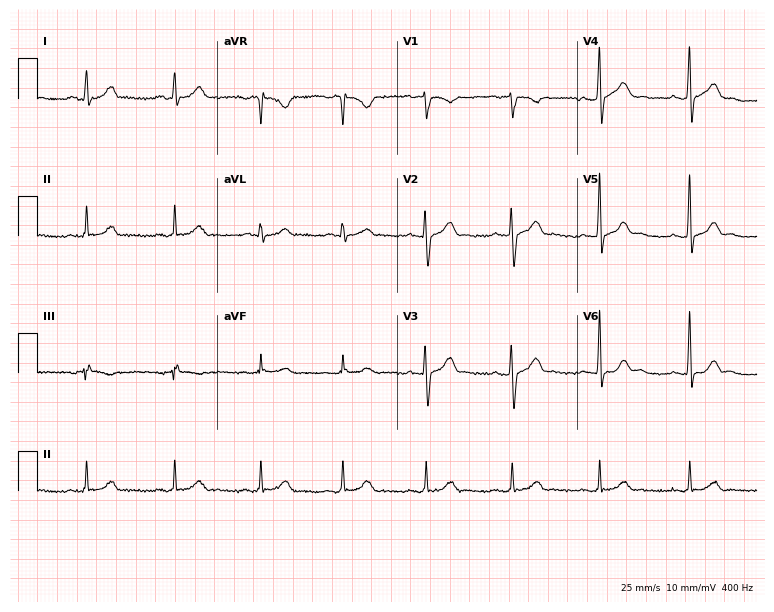
Standard 12-lead ECG recorded from a 54-year-old male patient (7.3-second recording at 400 Hz). None of these six findings is recorded: first-degree AV block, right bundle branch block, left bundle branch block, sinus bradycardia, atrial fibrillation, sinus tachycardia.